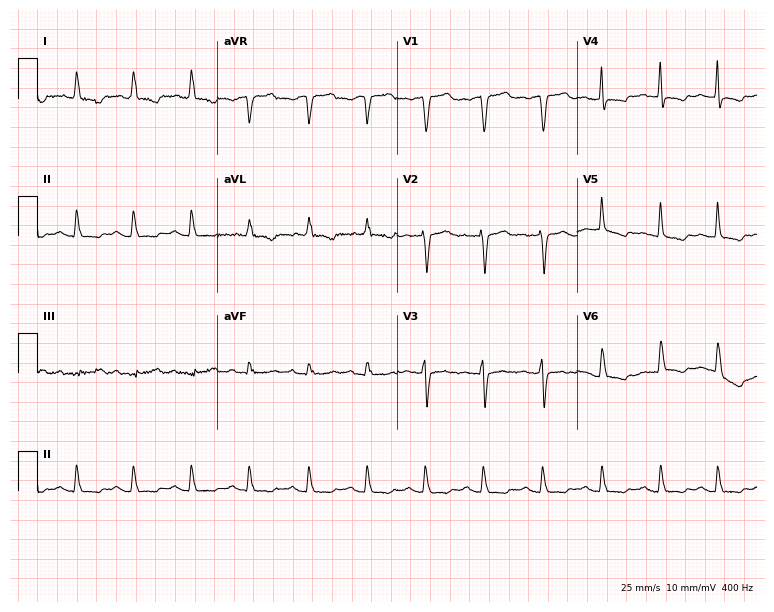
12-lead ECG from a female, 66 years old (7.3-second recording at 400 Hz). Shows sinus tachycardia (a sinus rate of 100 beats per minute or more).